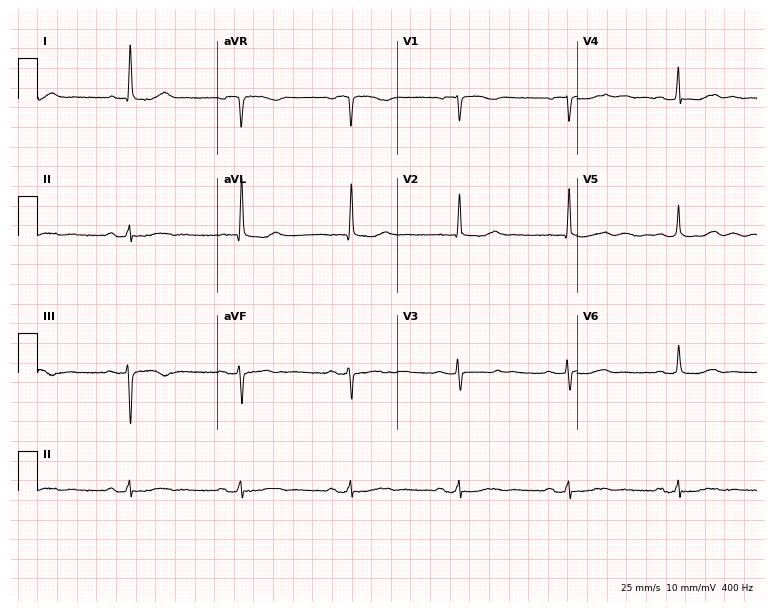
Standard 12-lead ECG recorded from a 70-year-old woman. None of these six findings is recorded: first-degree AV block, right bundle branch block, left bundle branch block, sinus bradycardia, atrial fibrillation, sinus tachycardia. Other findings, if any, are not listed.